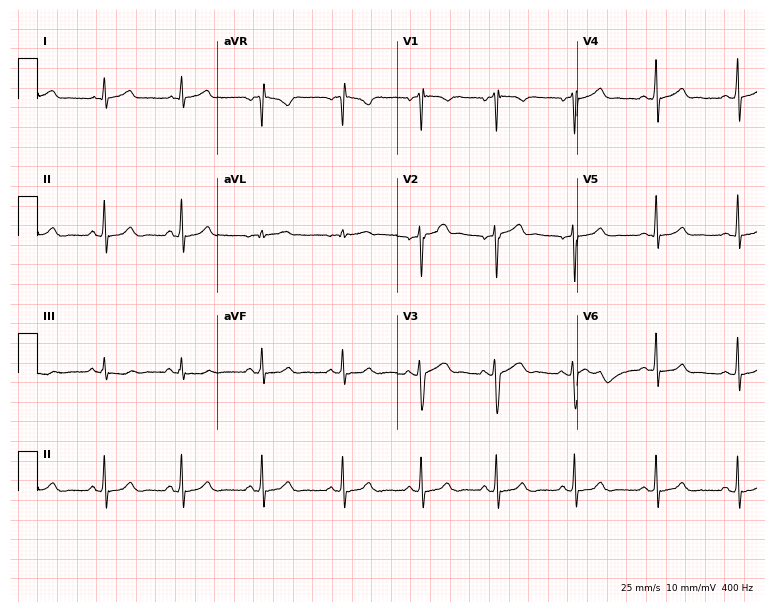
Resting 12-lead electrocardiogram. Patient: a man, 31 years old. None of these six findings is recorded: first-degree AV block, right bundle branch block, left bundle branch block, sinus bradycardia, atrial fibrillation, sinus tachycardia.